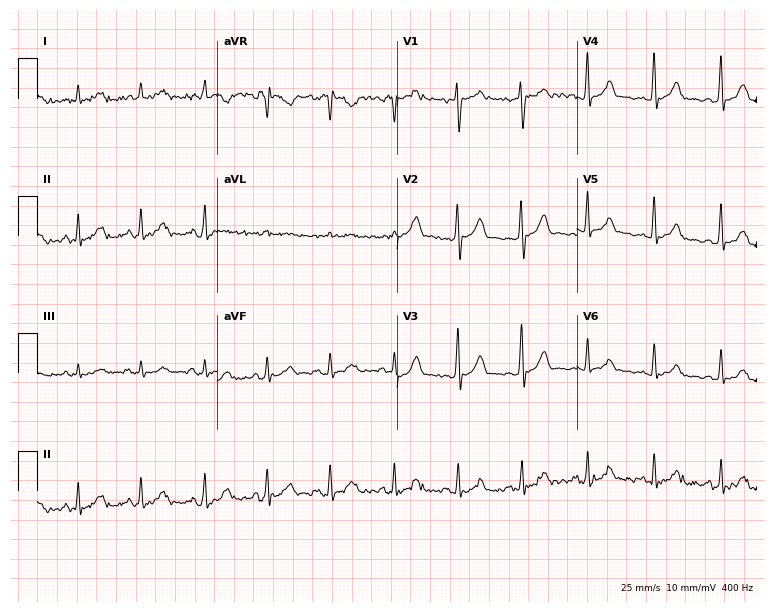
12-lead ECG from a 41-year-old male patient (7.3-second recording at 400 Hz). No first-degree AV block, right bundle branch block (RBBB), left bundle branch block (LBBB), sinus bradycardia, atrial fibrillation (AF) or sinus tachycardia recorded for this tracing.